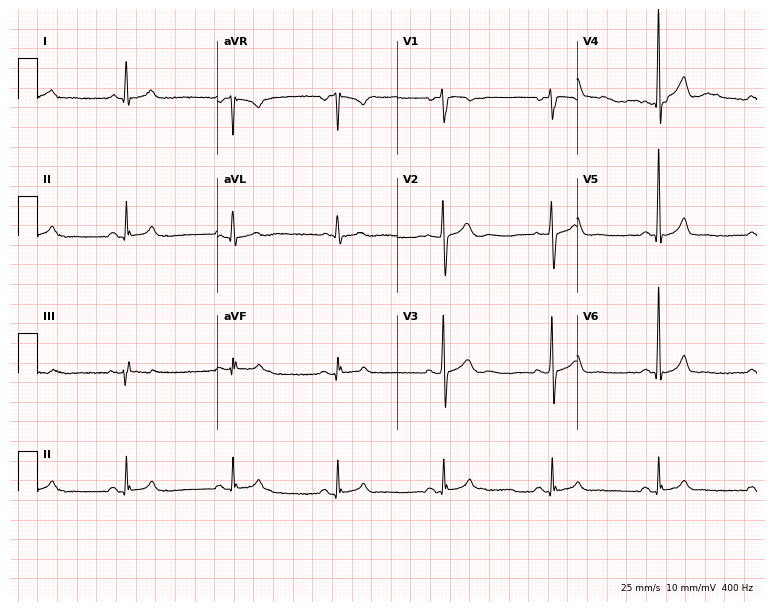
12-lead ECG from a man, 53 years old. Labelled as a normal ECG.